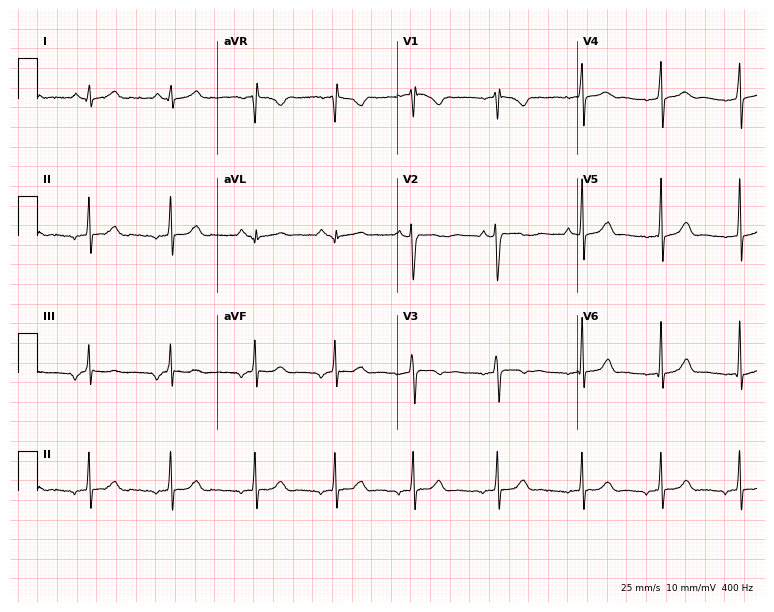
Electrocardiogram (7.3-second recording at 400 Hz), a 17-year-old woman. Overall reading on record: normal ECG.